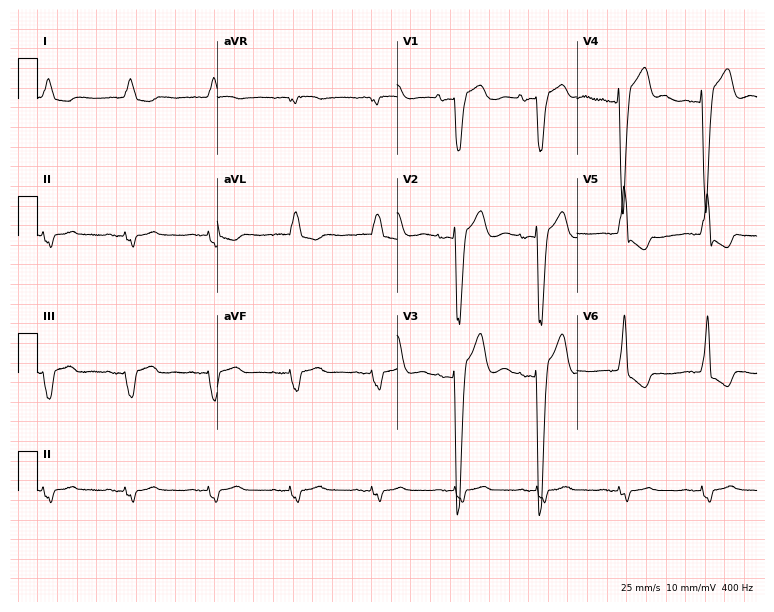
12-lead ECG from an 83-year-old female patient. Screened for six findings — first-degree AV block, right bundle branch block, left bundle branch block, sinus bradycardia, atrial fibrillation, sinus tachycardia — none is recorded.